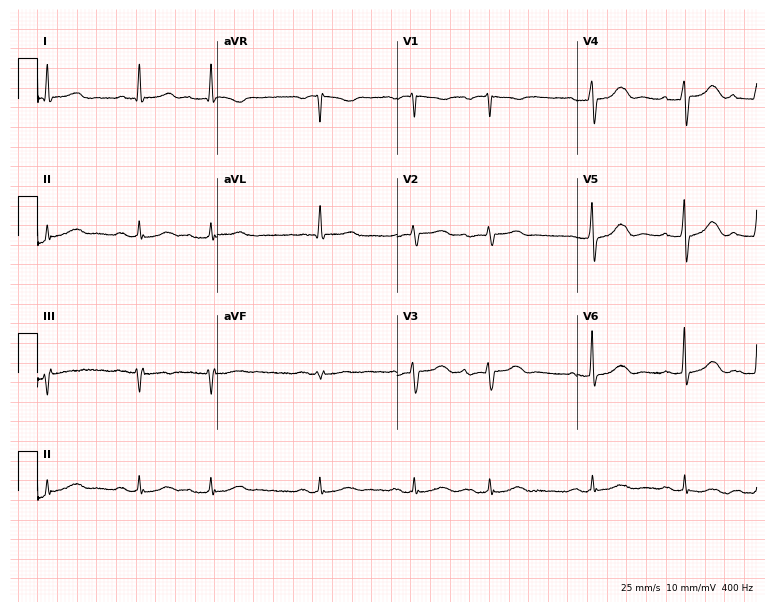
Standard 12-lead ECG recorded from a male, 36 years old (7.3-second recording at 400 Hz). Read as a normal ECG.